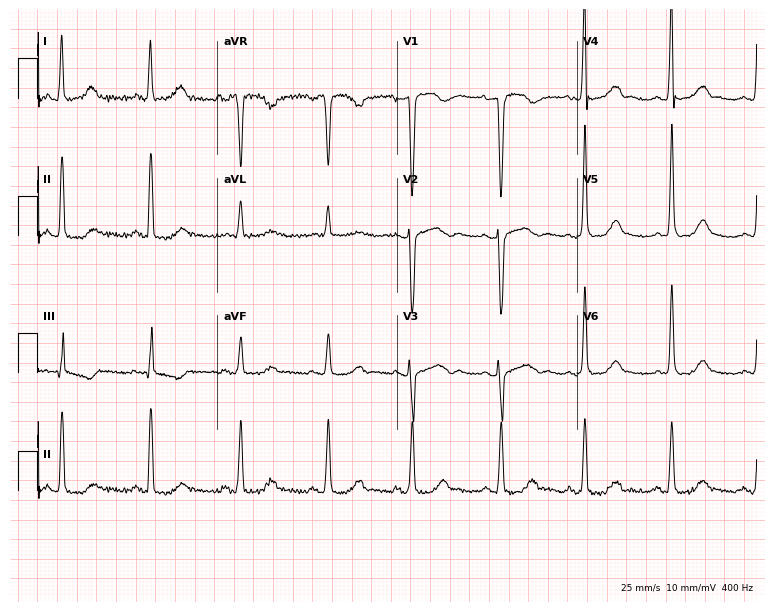
12-lead ECG (7.3-second recording at 400 Hz) from a 56-year-old woman. Screened for six findings — first-degree AV block, right bundle branch block, left bundle branch block, sinus bradycardia, atrial fibrillation, sinus tachycardia — none is recorded. Findings outside these six are not listed.